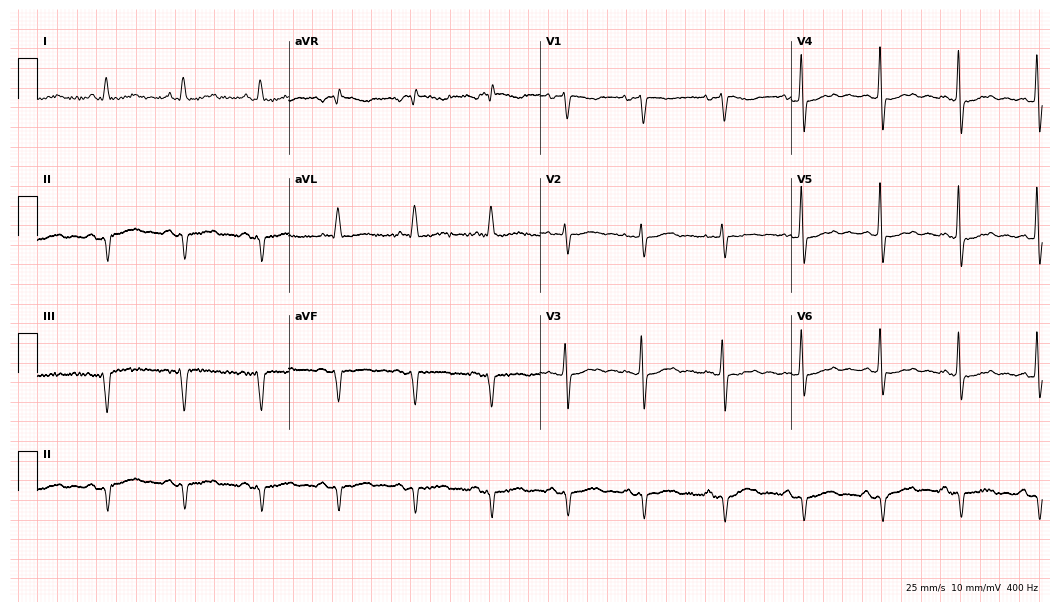
Standard 12-lead ECG recorded from a woman, 77 years old. None of these six findings is recorded: first-degree AV block, right bundle branch block, left bundle branch block, sinus bradycardia, atrial fibrillation, sinus tachycardia.